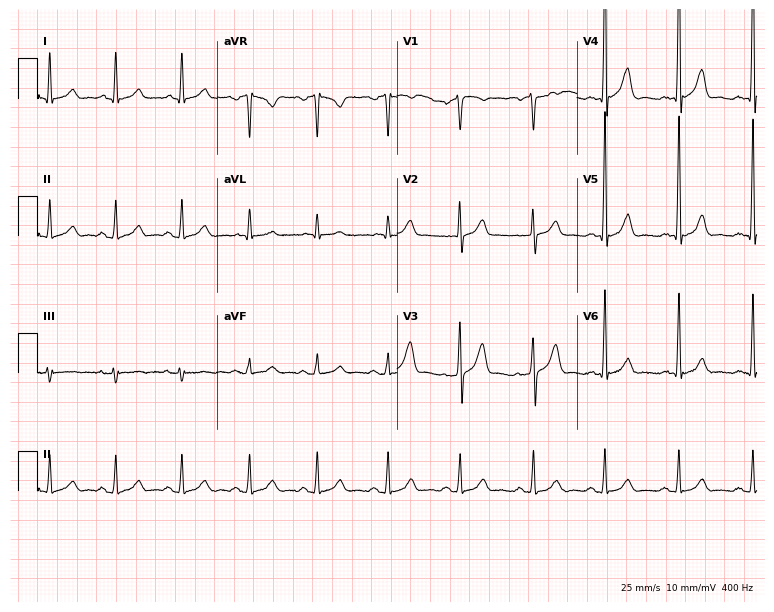
ECG — a 64-year-old male. Labelled as a normal ECG.